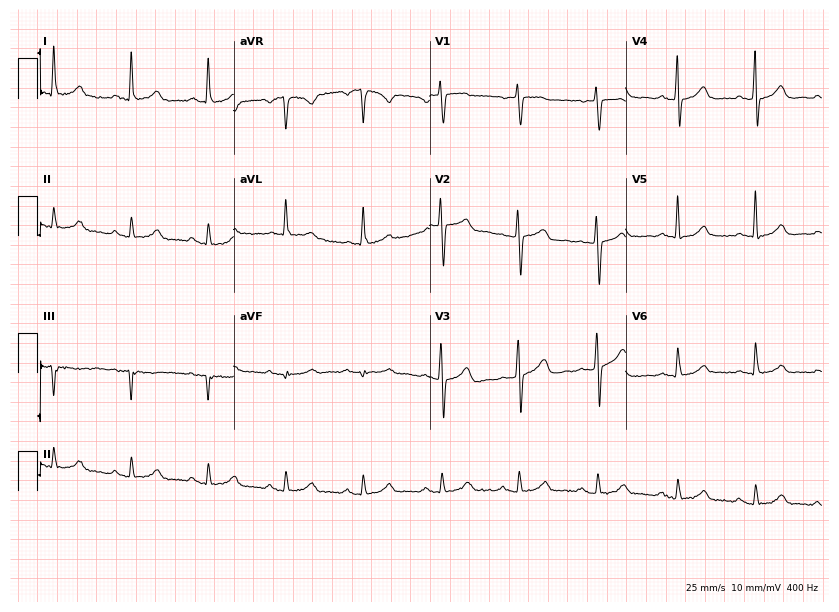
12-lead ECG from a 76-year-old female patient (8-second recording at 400 Hz). No first-degree AV block, right bundle branch block, left bundle branch block, sinus bradycardia, atrial fibrillation or sinus tachycardia recorded for this tracing.